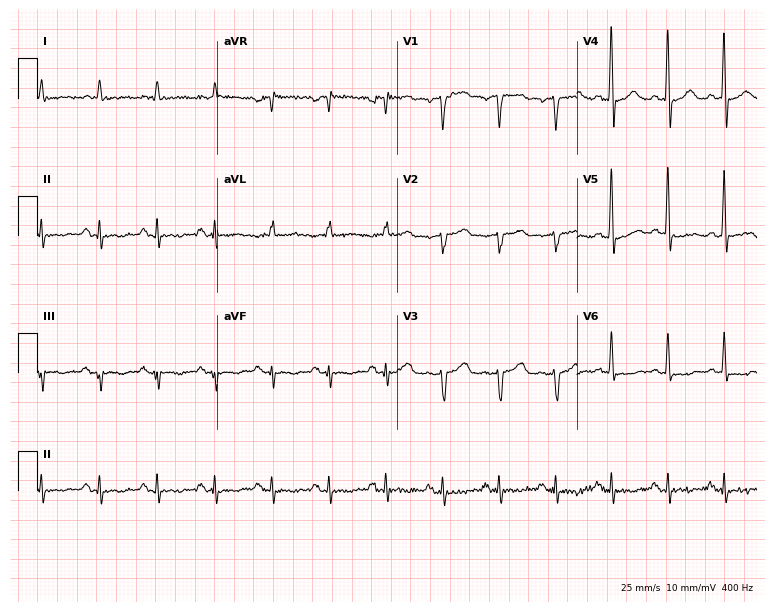
12-lead ECG from a male patient, 77 years old. Findings include sinus tachycardia (a sinus rate of 100 beats per minute or more).